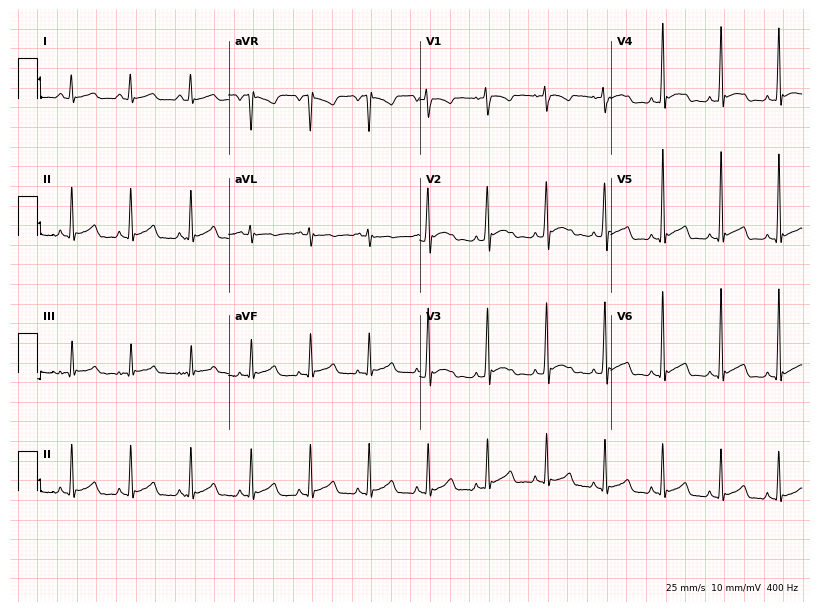
Resting 12-lead electrocardiogram (7.8-second recording at 400 Hz). Patient: a female, 28 years old. None of these six findings is recorded: first-degree AV block, right bundle branch block, left bundle branch block, sinus bradycardia, atrial fibrillation, sinus tachycardia. Findings outside these six are not listed.